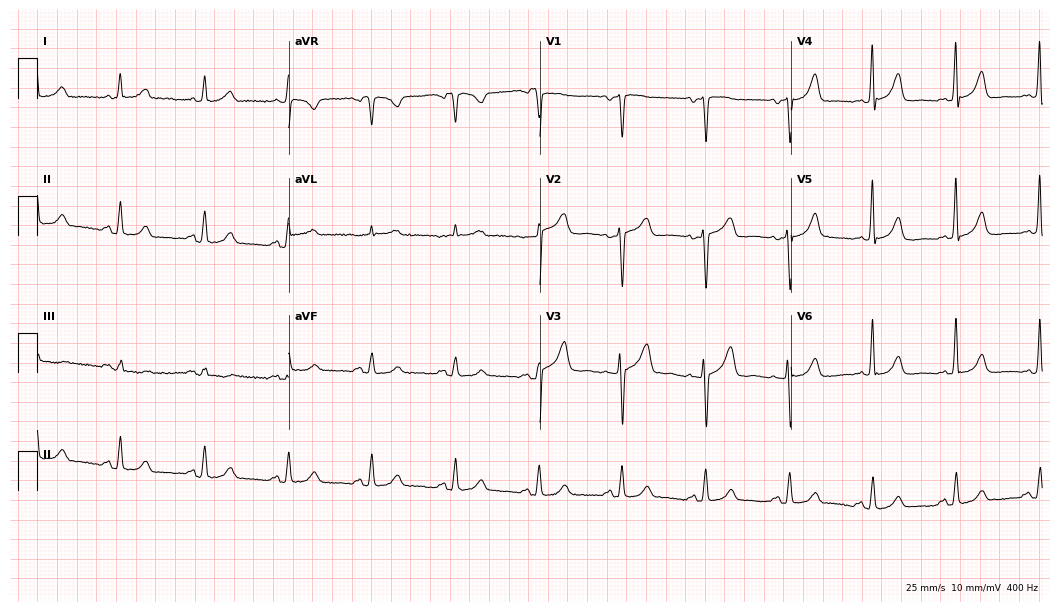
Electrocardiogram (10.2-second recording at 400 Hz), a female, 83 years old. Overall reading on record: normal ECG.